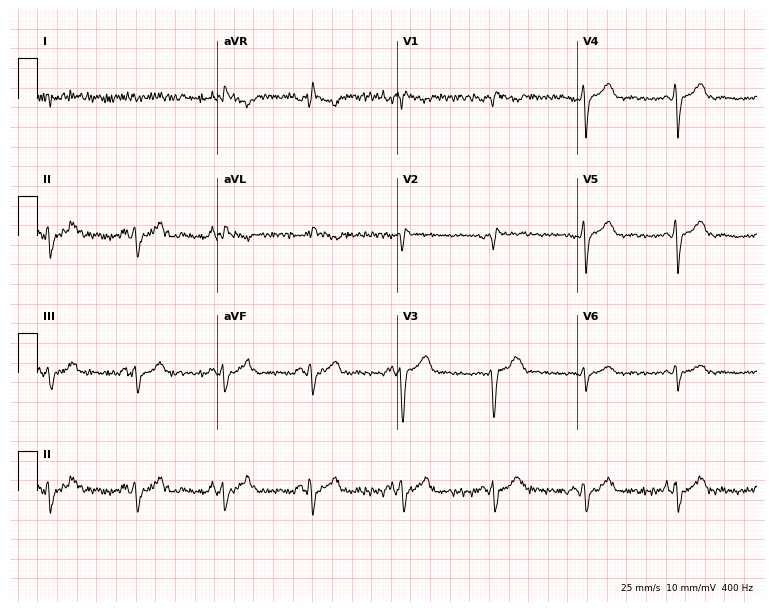
Electrocardiogram, a man, 55 years old. Of the six screened findings (first-degree AV block, right bundle branch block, left bundle branch block, sinus bradycardia, atrial fibrillation, sinus tachycardia), none is recorded. Only these six findings were labelled.